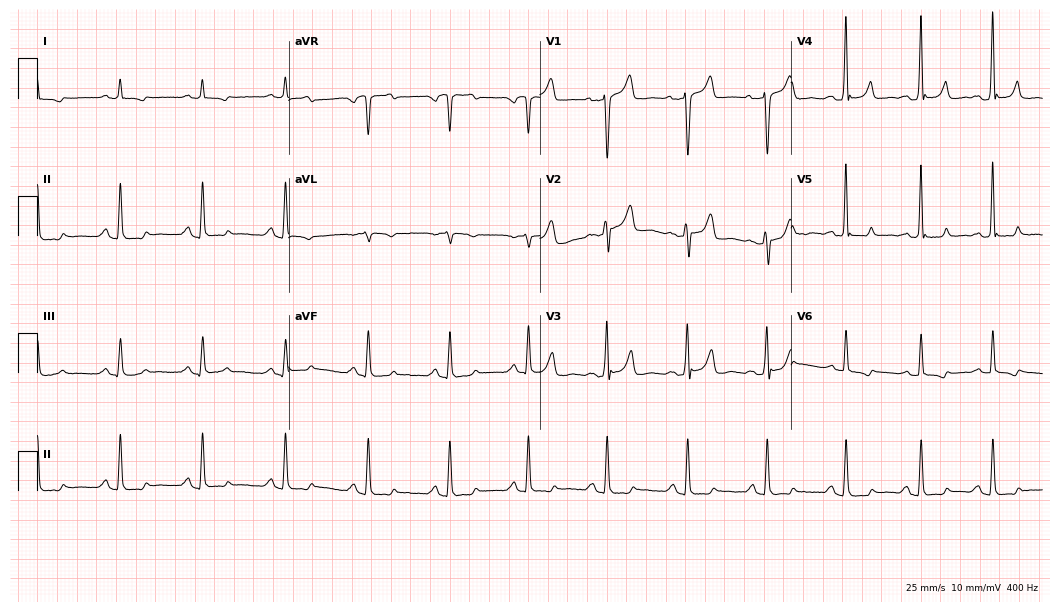
Electrocardiogram (10.2-second recording at 400 Hz), a man, 29 years old. Of the six screened findings (first-degree AV block, right bundle branch block, left bundle branch block, sinus bradycardia, atrial fibrillation, sinus tachycardia), none is recorded. Other findings, if any, are not listed.